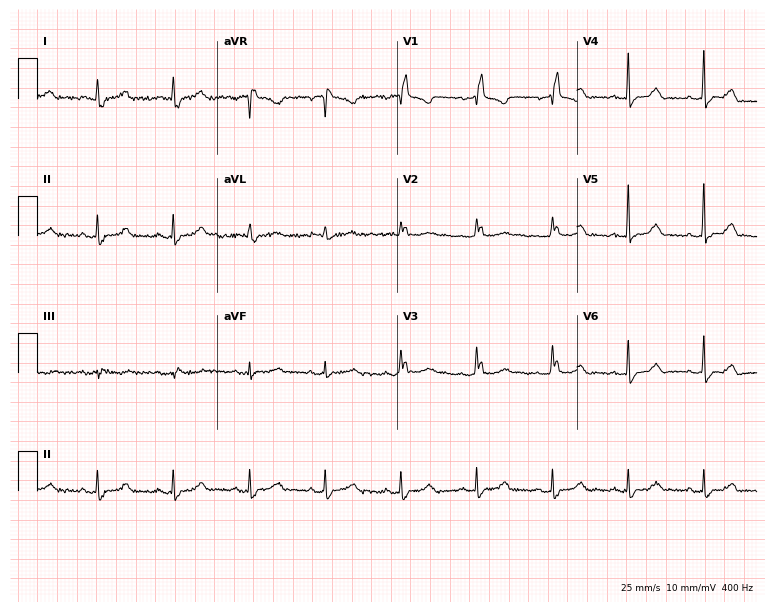
Standard 12-lead ECG recorded from a 71-year-old woman (7.3-second recording at 400 Hz). The tracing shows right bundle branch block (RBBB).